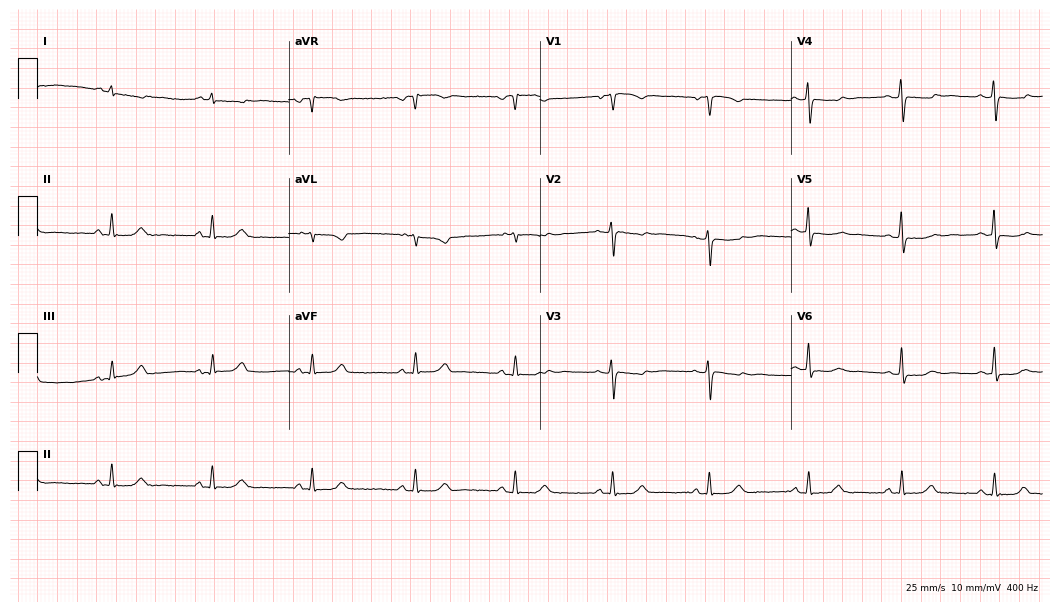
Electrocardiogram, a 42-year-old female patient. Of the six screened findings (first-degree AV block, right bundle branch block, left bundle branch block, sinus bradycardia, atrial fibrillation, sinus tachycardia), none is recorded. Only these six findings were labelled.